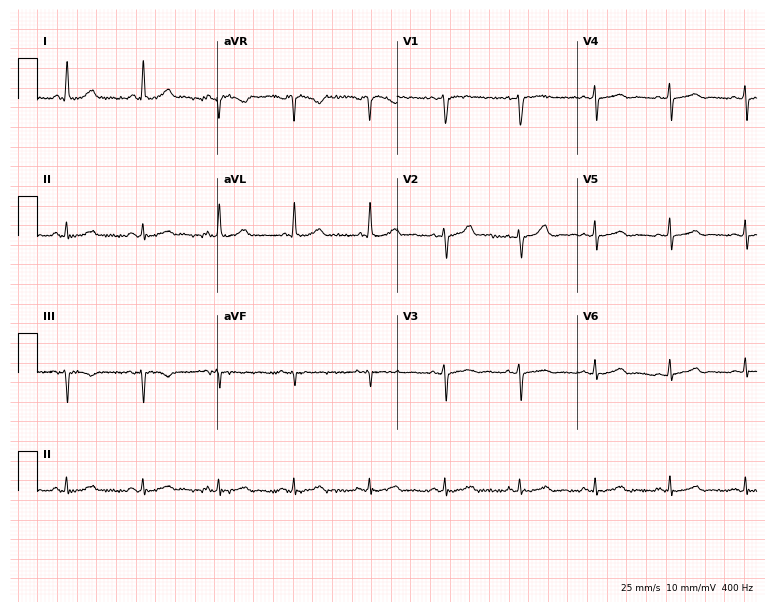
Resting 12-lead electrocardiogram. Patient: a 47-year-old female. Read as a normal ECG.